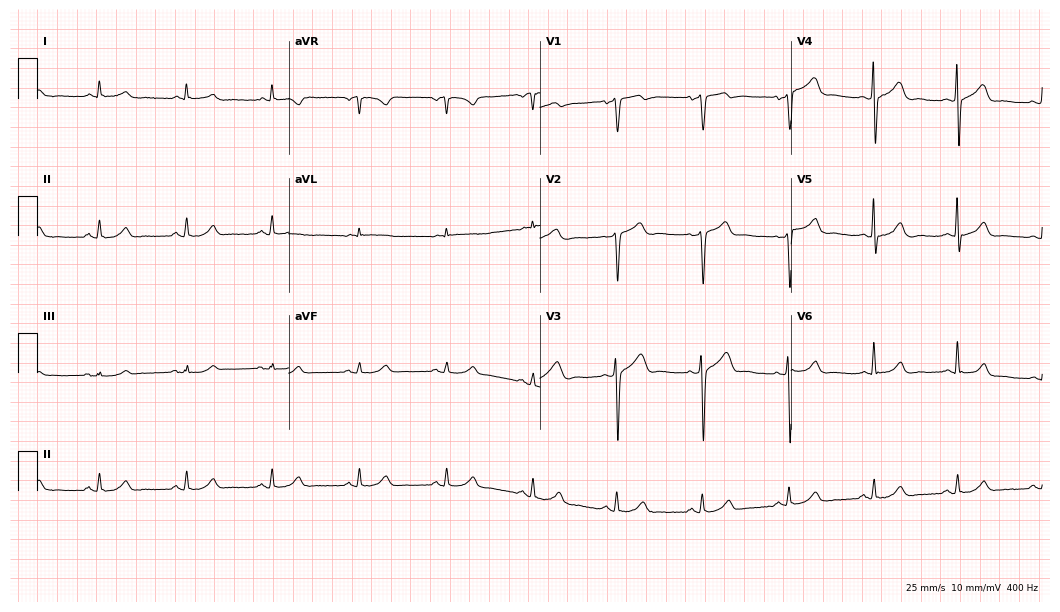
Resting 12-lead electrocardiogram (10.2-second recording at 400 Hz). Patient: a 56-year-old male. None of these six findings is recorded: first-degree AV block, right bundle branch block (RBBB), left bundle branch block (LBBB), sinus bradycardia, atrial fibrillation (AF), sinus tachycardia.